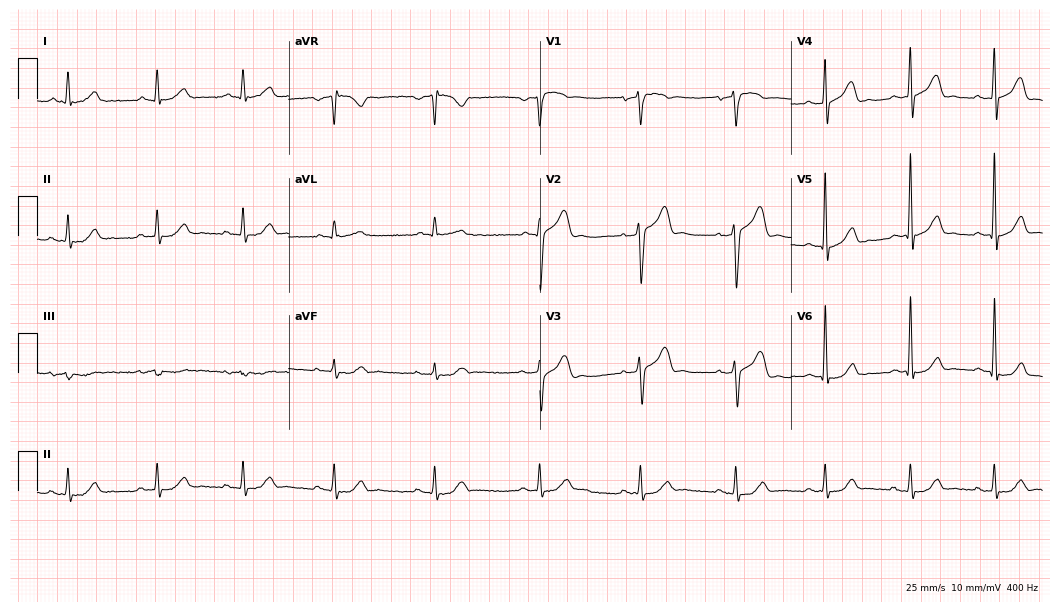
12-lead ECG from a male, 43 years old (10.2-second recording at 400 Hz). Recorded interpretation: within normal limits.